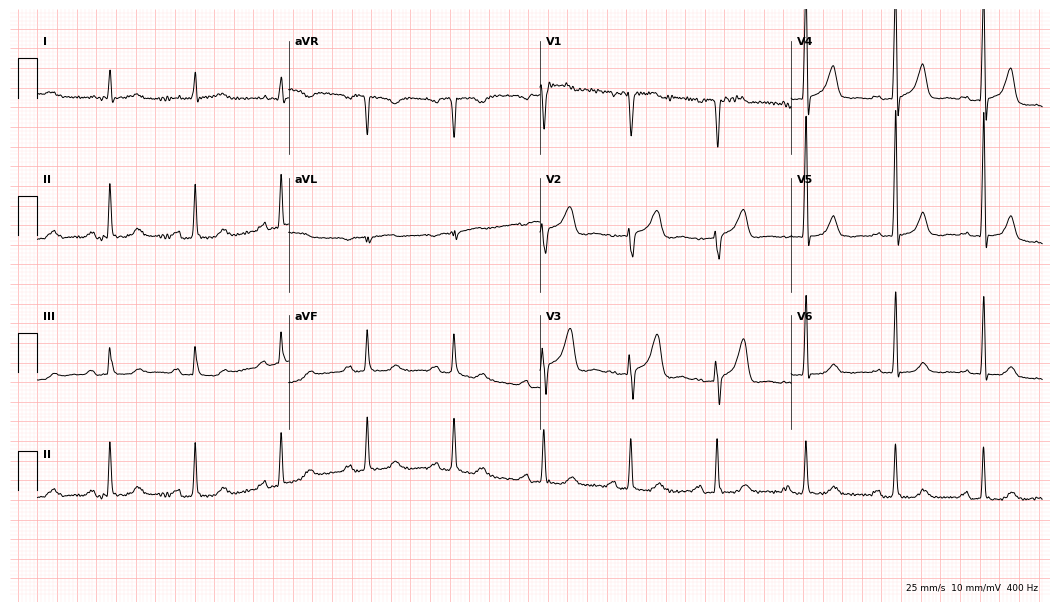
Electrocardiogram, a 77-year-old male. Of the six screened findings (first-degree AV block, right bundle branch block, left bundle branch block, sinus bradycardia, atrial fibrillation, sinus tachycardia), none is recorded. Only these six findings were labelled.